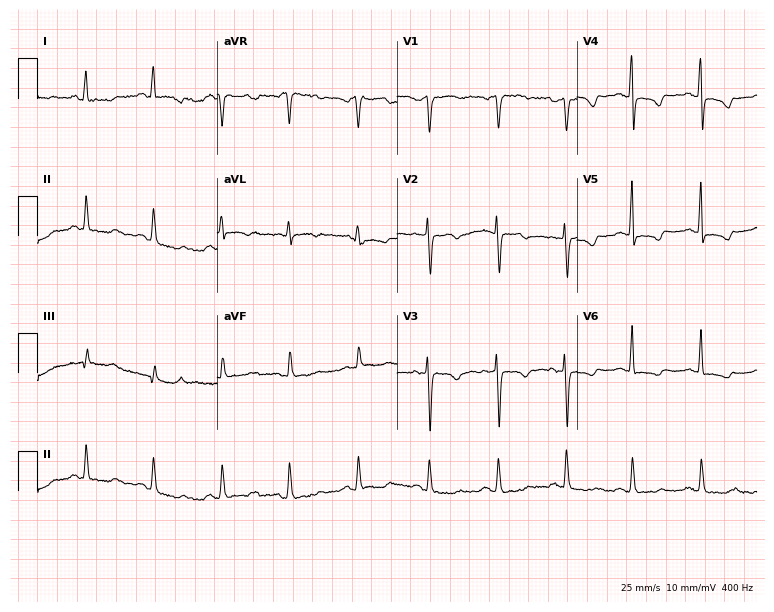
Electrocardiogram, a female, 58 years old. Of the six screened findings (first-degree AV block, right bundle branch block, left bundle branch block, sinus bradycardia, atrial fibrillation, sinus tachycardia), none is recorded. Other findings, if any, are not listed.